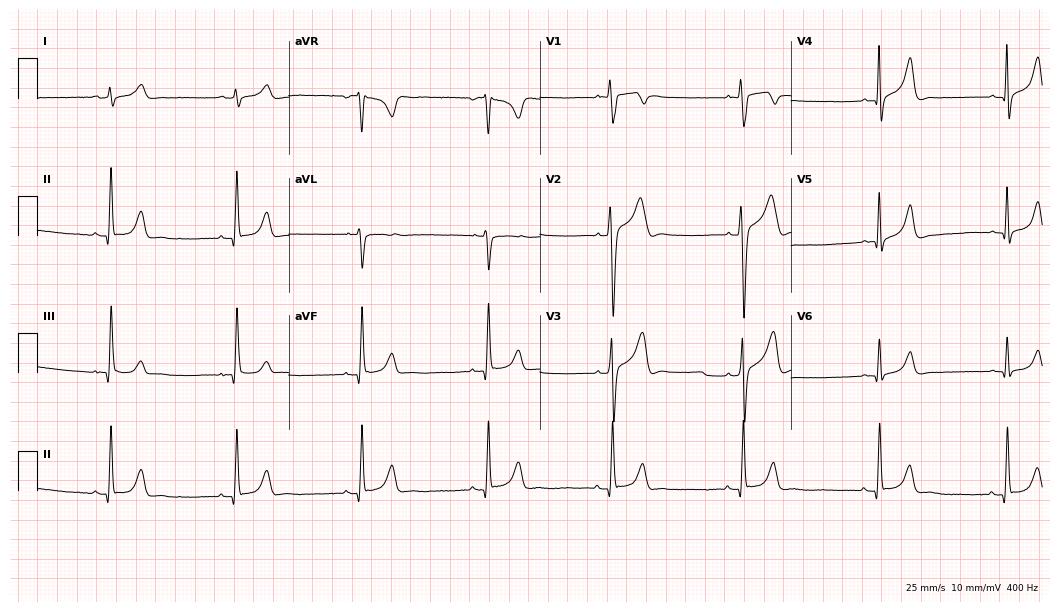
12-lead ECG from a male patient, 28 years old. Shows sinus bradycardia (a sinus rate of 50 beats per minute or less).